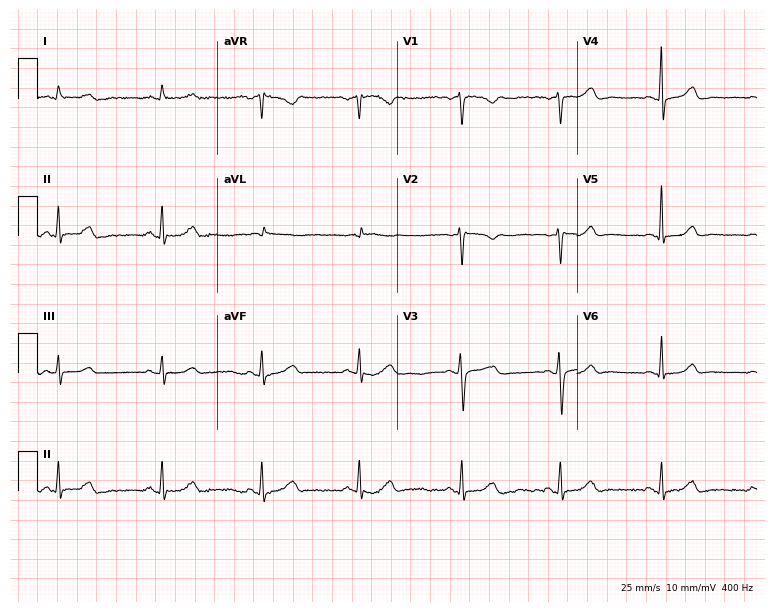
Resting 12-lead electrocardiogram. Patient: a female, 49 years old. Read as a normal ECG.